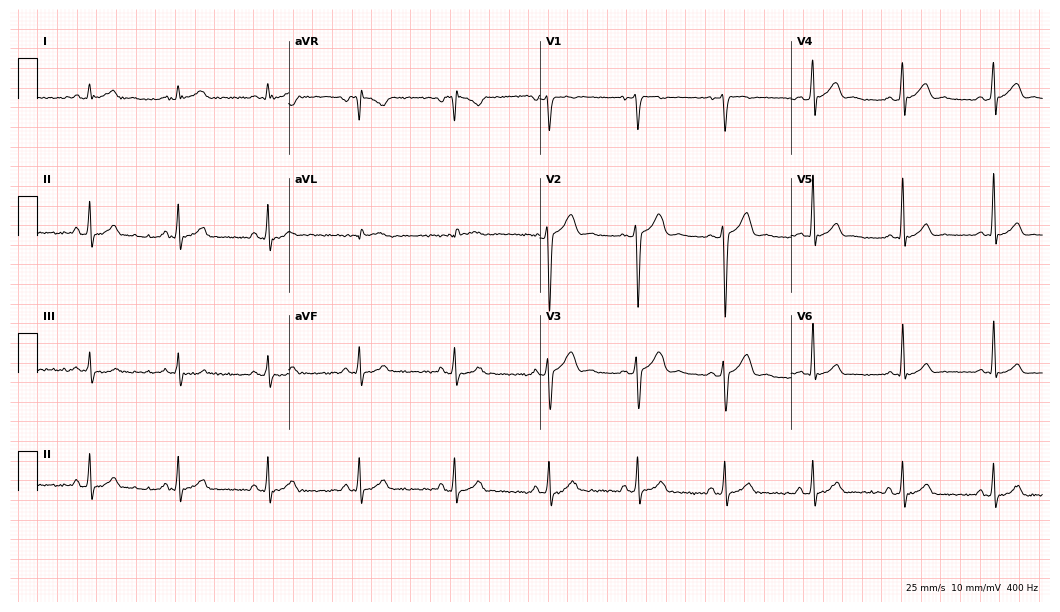
Resting 12-lead electrocardiogram. Patient: a 23-year-old male. Read as a normal ECG.